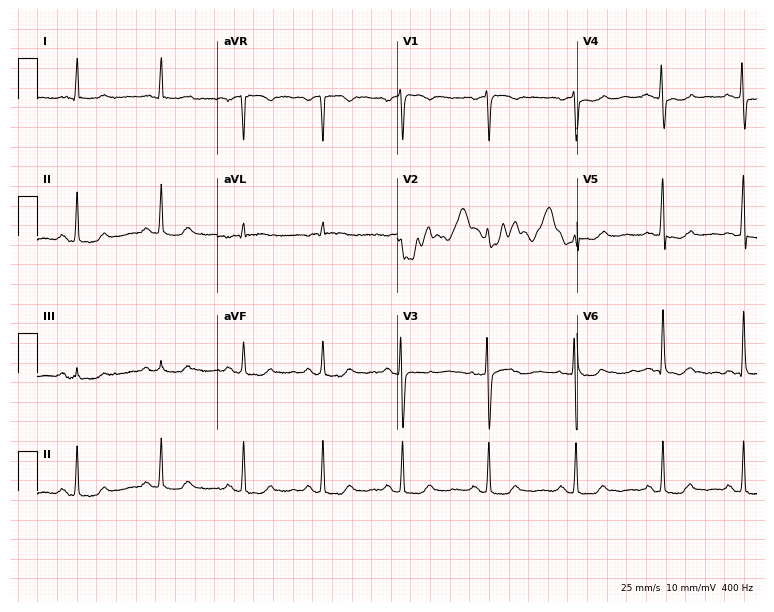
12-lead ECG from a female, 68 years old. Screened for six findings — first-degree AV block, right bundle branch block (RBBB), left bundle branch block (LBBB), sinus bradycardia, atrial fibrillation (AF), sinus tachycardia — none is recorded. Other findings, if any, are not listed.